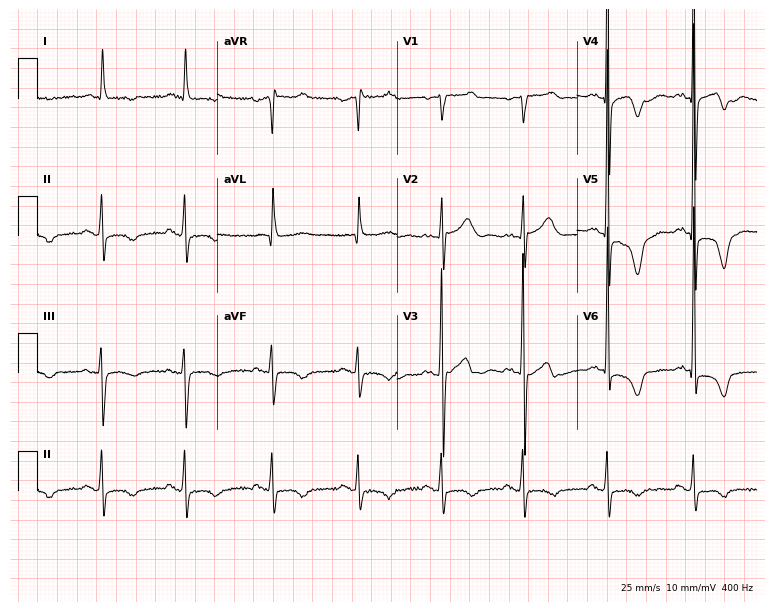
ECG (7.3-second recording at 400 Hz) — a 79-year-old male patient. Screened for six findings — first-degree AV block, right bundle branch block, left bundle branch block, sinus bradycardia, atrial fibrillation, sinus tachycardia — none is recorded. Other findings, if any, are not listed.